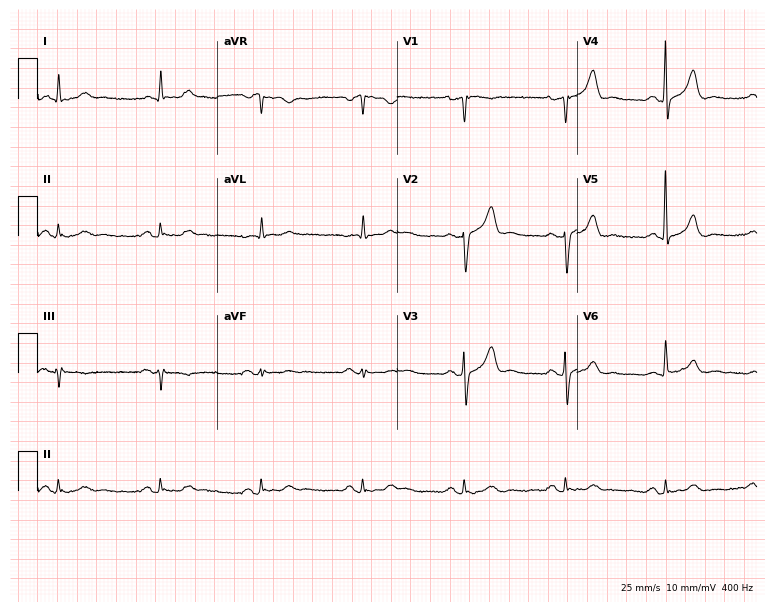
12-lead ECG (7.3-second recording at 400 Hz) from a male patient, 80 years old. Findings include first-degree AV block.